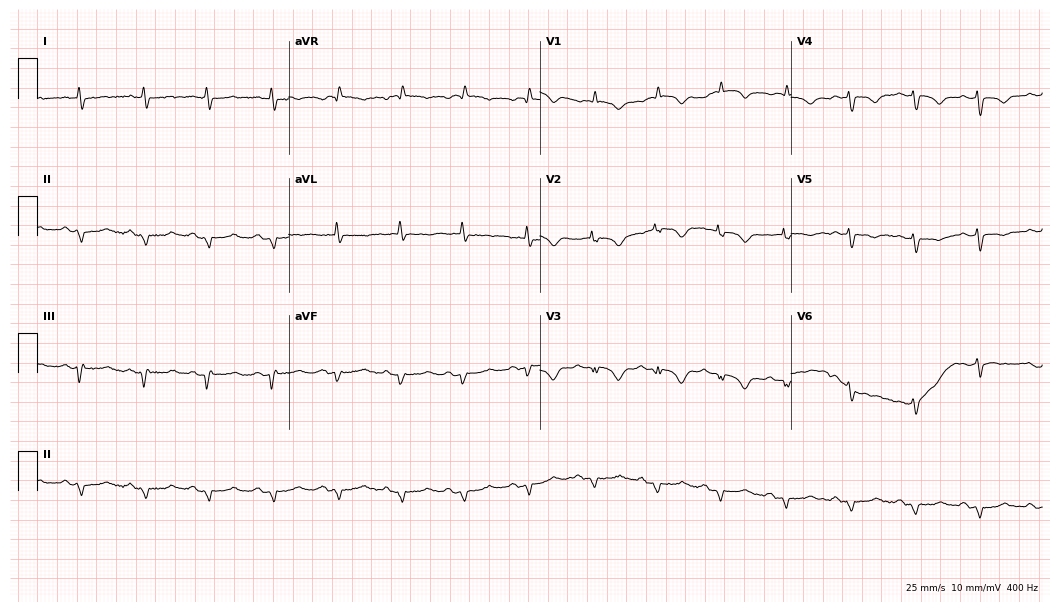
Resting 12-lead electrocardiogram. Patient: a woman, 77 years old. None of these six findings is recorded: first-degree AV block, right bundle branch block (RBBB), left bundle branch block (LBBB), sinus bradycardia, atrial fibrillation (AF), sinus tachycardia. Only these six findings were labelled.